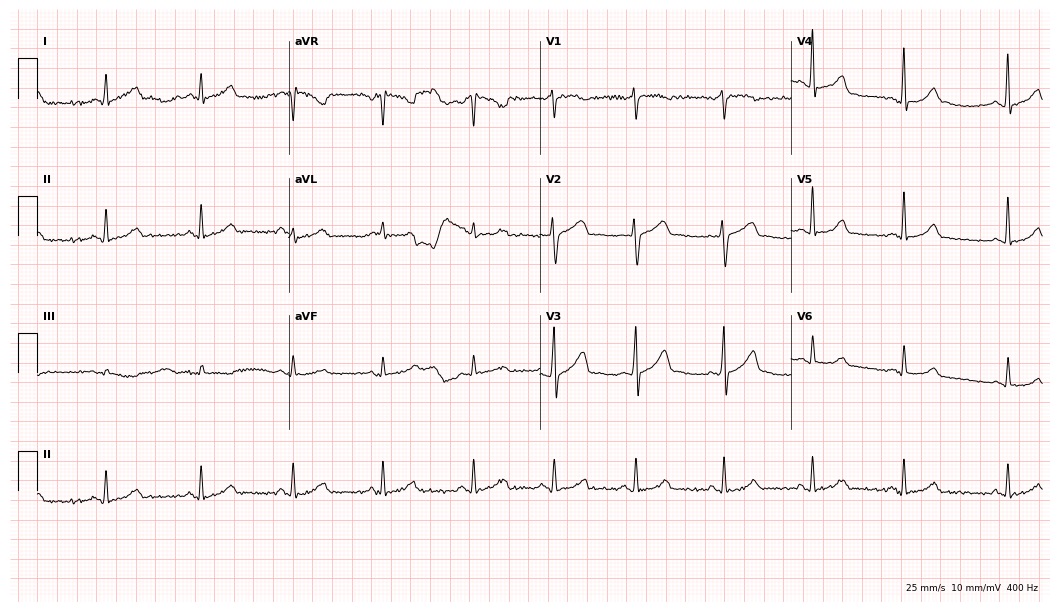
ECG (10.2-second recording at 400 Hz) — a 27-year-old male patient. Labelled as a normal ECG.